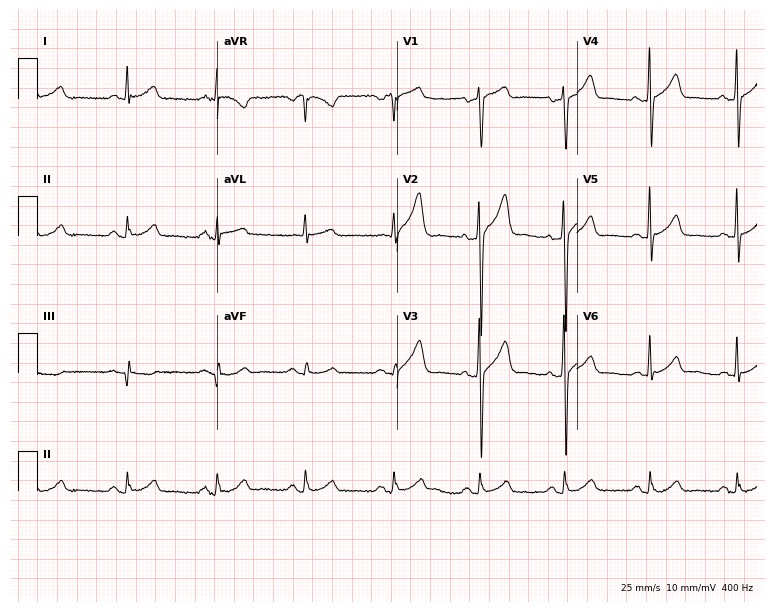
Electrocardiogram, a 64-year-old man. Overall reading on record: normal ECG.